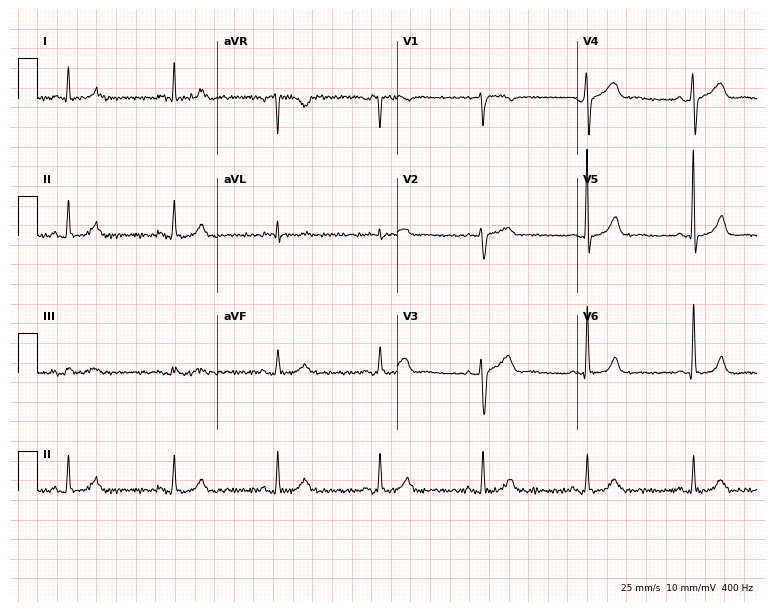
Electrocardiogram, a man, 56 years old. Of the six screened findings (first-degree AV block, right bundle branch block, left bundle branch block, sinus bradycardia, atrial fibrillation, sinus tachycardia), none is recorded. Findings outside these six are not listed.